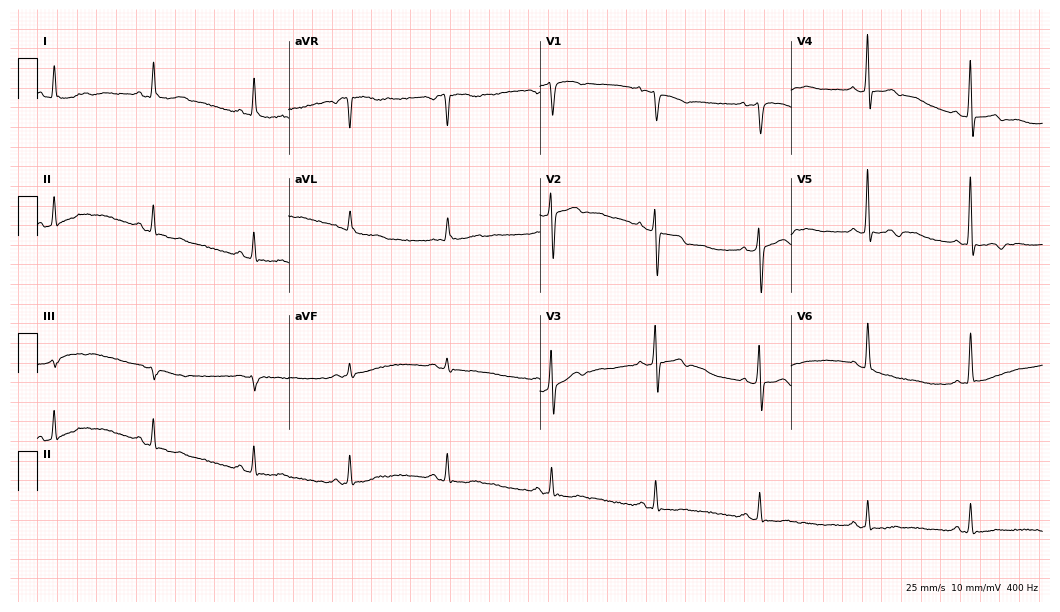
12-lead ECG from a woman, 59 years old. Screened for six findings — first-degree AV block, right bundle branch block, left bundle branch block, sinus bradycardia, atrial fibrillation, sinus tachycardia — none is recorded.